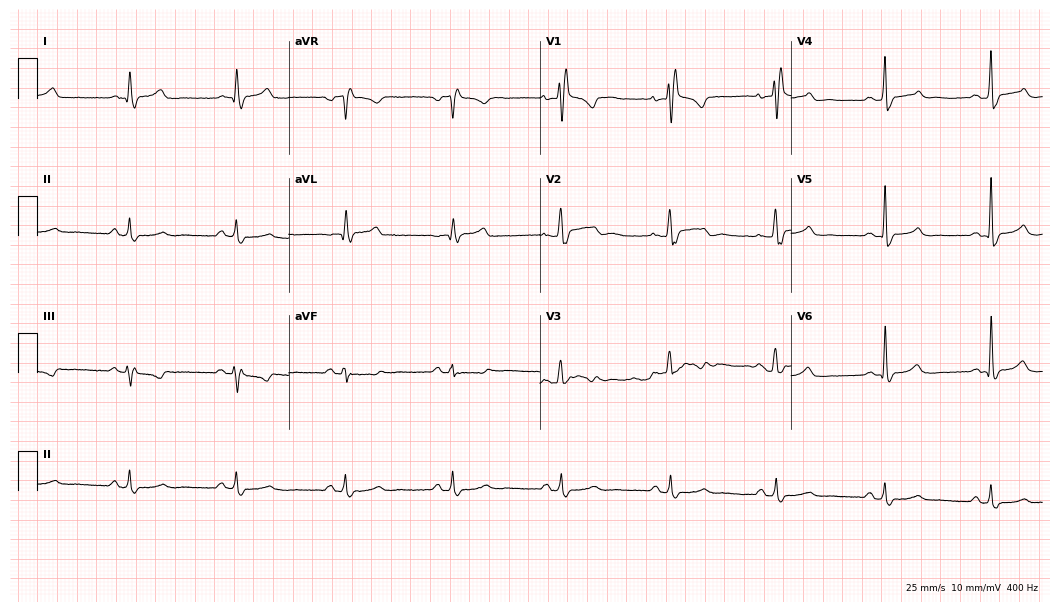
12-lead ECG from a 62-year-old woman. No first-degree AV block, right bundle branch block, left bundle branch block, sinus bradycardia, atrial fibrillation or sinus tachycardia recorded for this tracing.